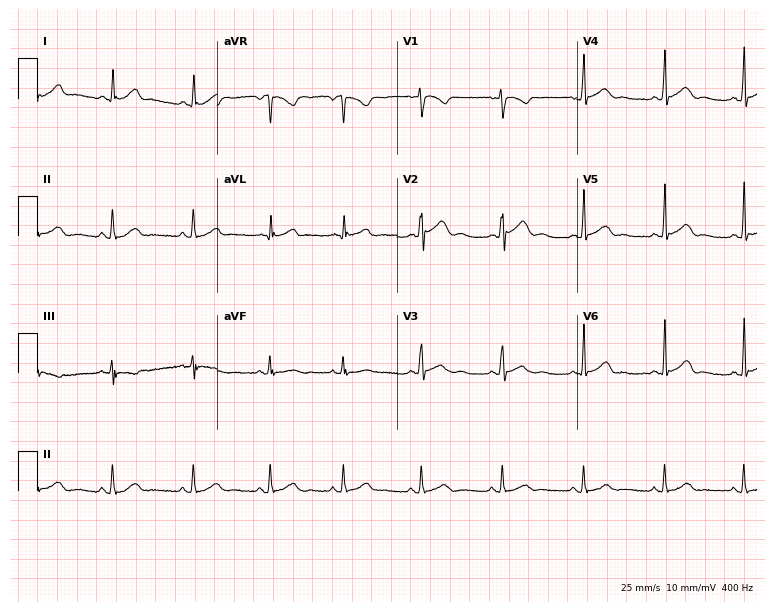
Resting 12-lead electrocardiogram. Patient: a 27-year-old female. Read as a normal ECG.